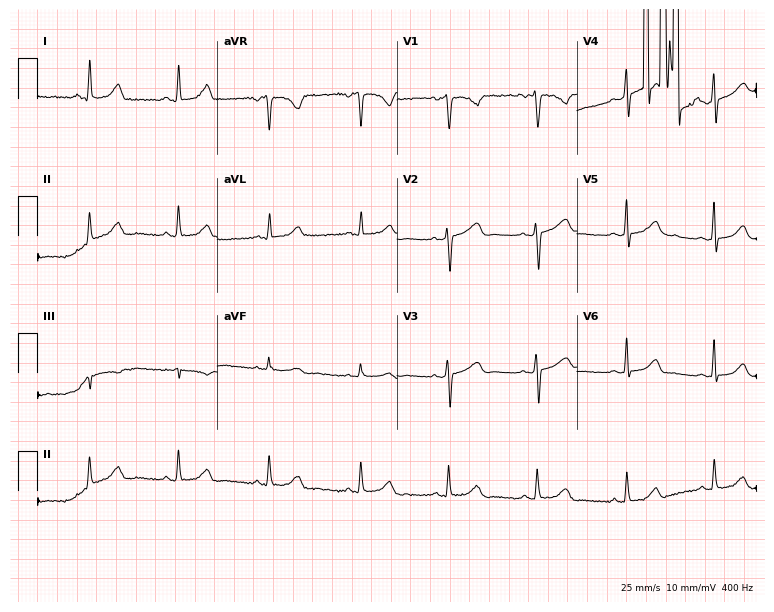
12-lead ECG from a 42-year-old female (7.3-second recording at 400 Hz). No first-degree AV block, right bundle branch block, left bundle branch block, sinus bradycardia, atrial fibrillation or sinus tachycardia recorded for this tracing.